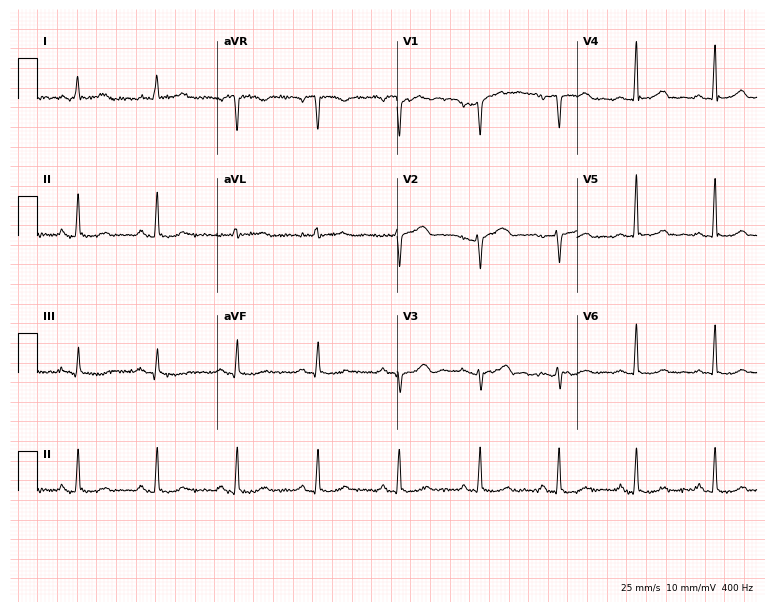
Electrocardiogram, a 49-year-old woman. Overall reading on record: normal ECG.